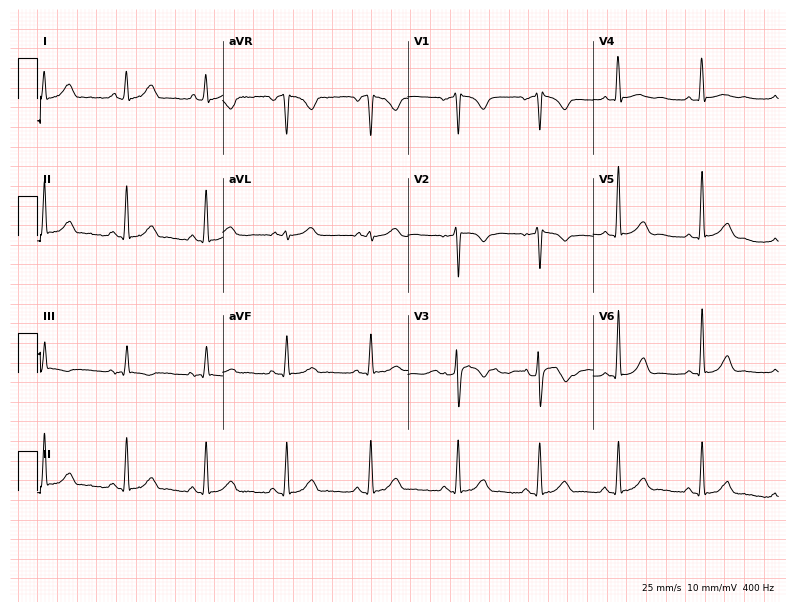
Standard 12-lead ECG recorded from a female patient, 23 years old (7.6-second recording at 400 Hz). None of these six findings is recorded: first-degree AV block, right bundle branch block, left bundle branch block, sinus bradycardia, atrial fibrillation, sinus tachycardia. Only these six findings were labelled.